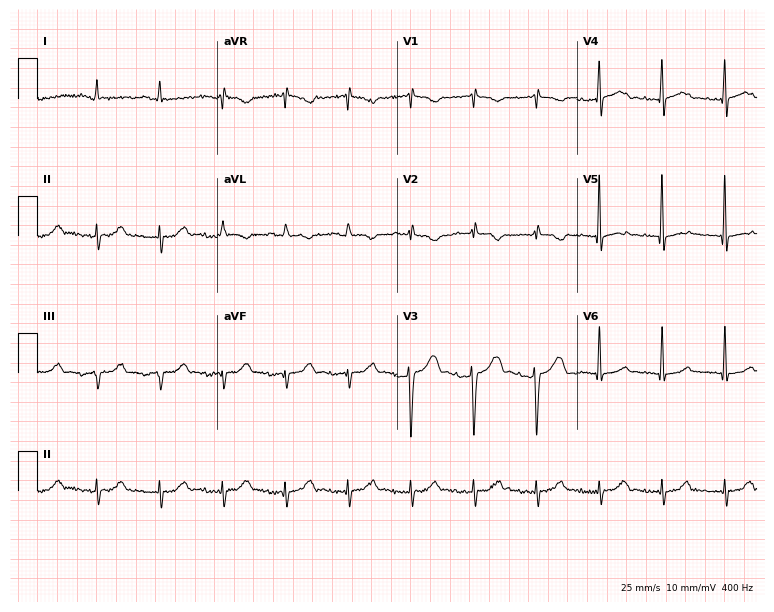
12-lead ECG from a female, 73 years old (7.3-second recording at 400 Hz). No first-degree AV block, right bundle branch block, left bundle branch block, sinus bradycardia, atrial fibrillation or sinus tachycardia recorded for this tracing.